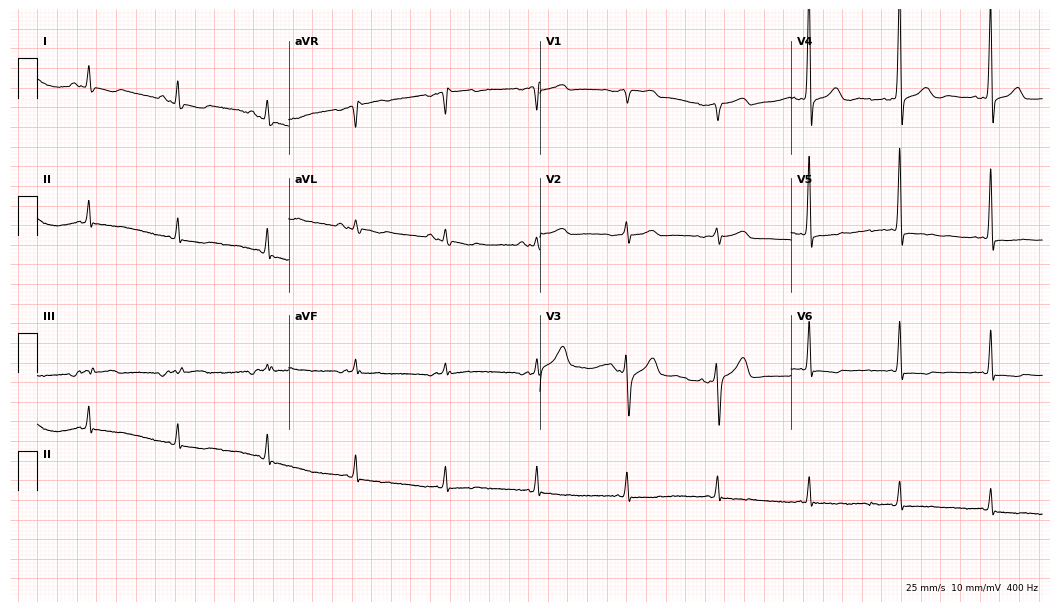
Electrocardiogram (10.2-second recording at 400 Hz), a male patient, 82 years old. Of the six screened findings (first-degree AV block, right bundle branch block (RBBB), left bundle branch block (LBBB), sinus bradycardia, atrial fibrillation (AF), sinus tachycardia), none is recorded.